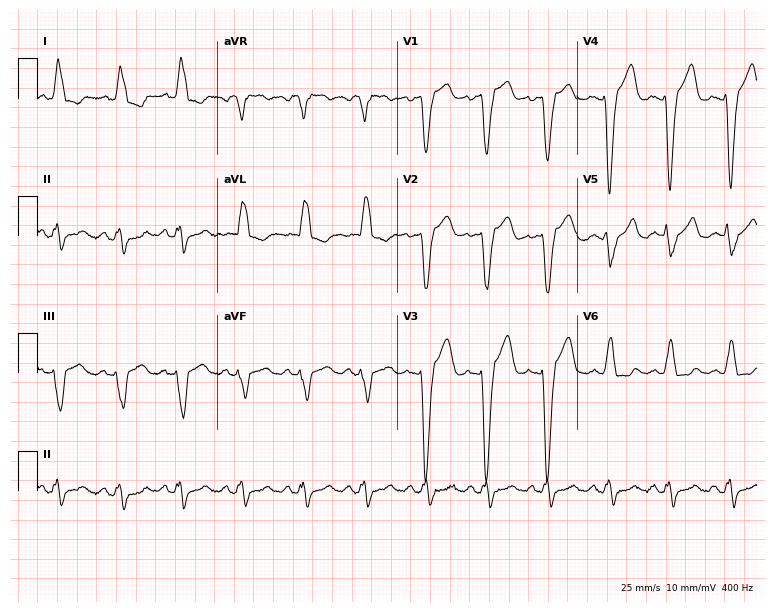
ECG — a woman, 54 years old. Screened for six findings — first-degree AV block, right bundle branch block (RBBB), left bundle branch block (LBBB), sinus bradycardia, atrial fibrillation (AF), sinus tachycardia — none is recorded.